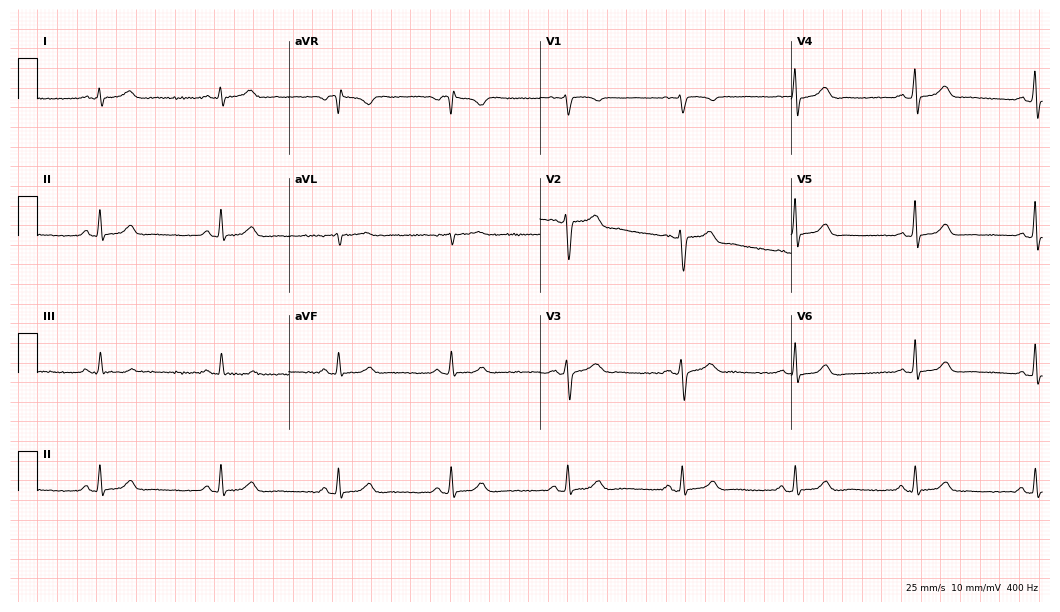
Electrocardiogram, a woman, 43 years old. Of the six screened findings (first-degree AV block, right bundle branch block, left bundle branch block, sinus bradycardia, atrial fibrillation, sinus tachycardia), none is recorded.